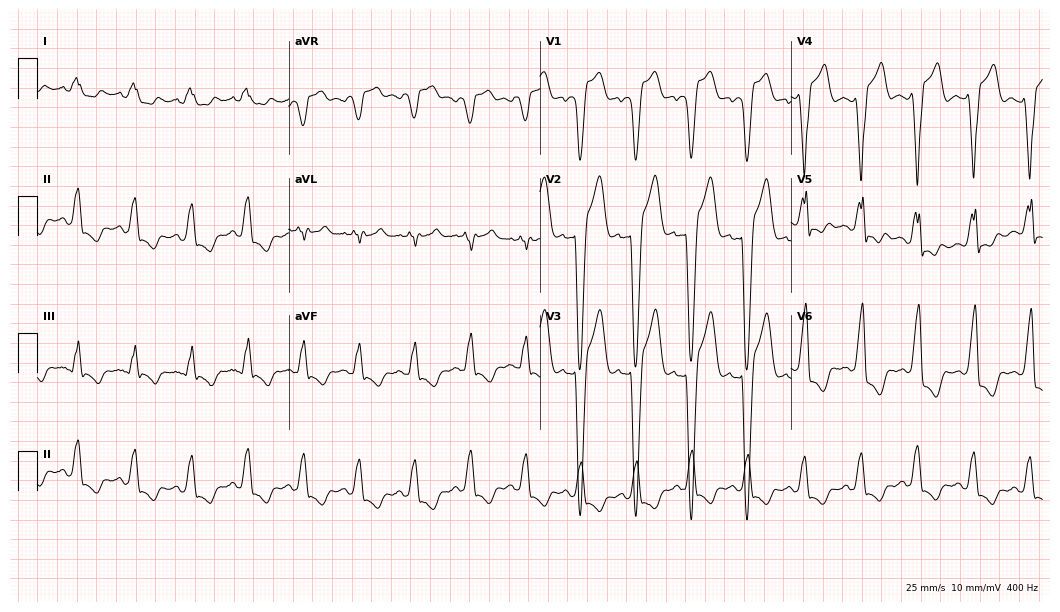
12-lead ECG from a male, 72 years old. Findings include left bundle branch block.